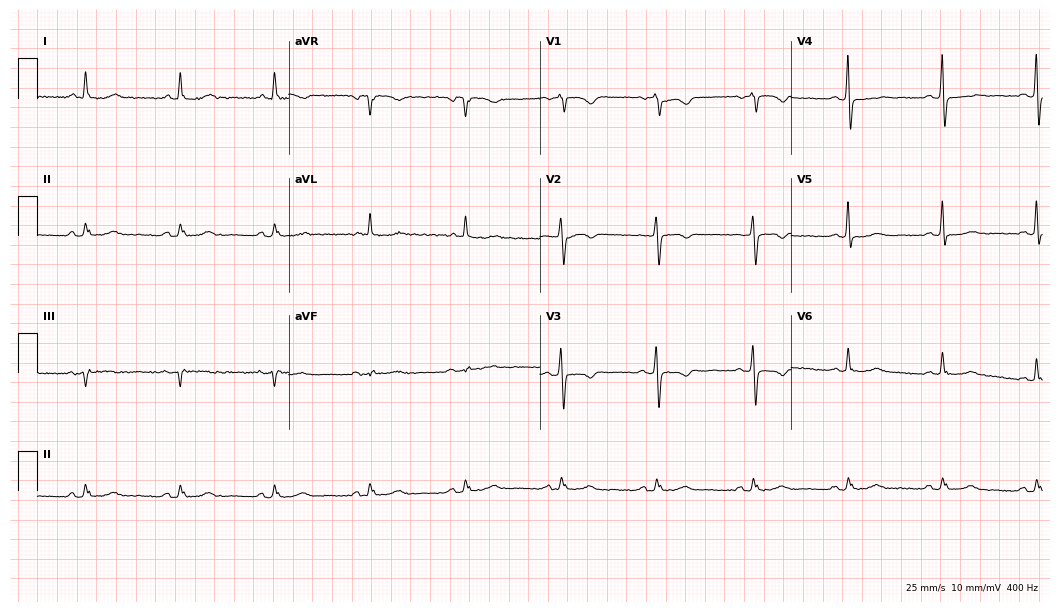
ECG — a 74-year-old woman. Screened for six findings — first-degree AV block, right bundle branch block (RBBB), left bundle branch block (LBBB), sinus bradycardia, atrial fibrillation (AF), sinus tachycardia — none is recorded. Only these six findings were labelled.